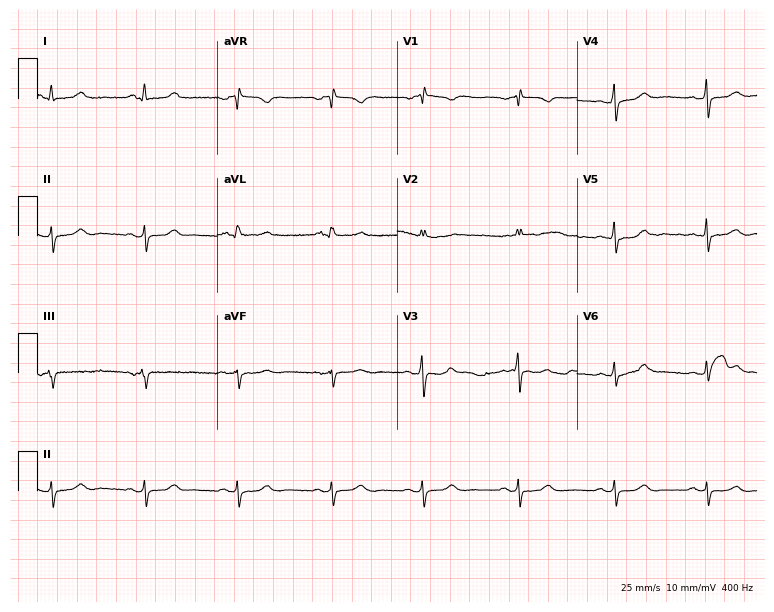
12-lead ECG from a female patient, 55 years old (7.3-second recording at 400 Hz). No first-degree AV block, right bundle branch block (RBBB), left bundle branch block (LBBB), sinus bradycardia, atrial fibrillation (AF) or sinus tachycardia recorded for this tracing.